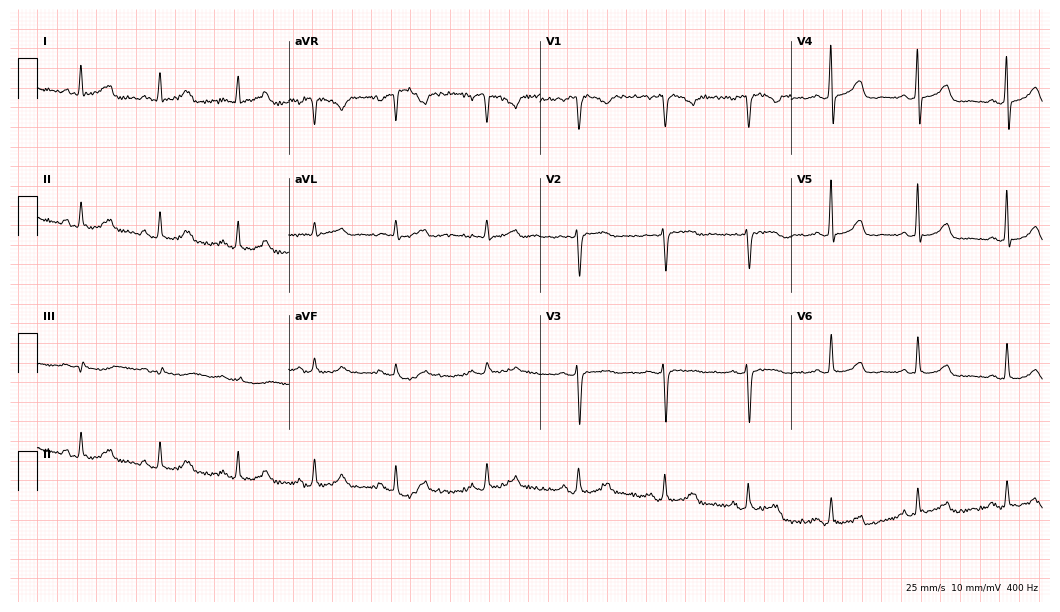
12-lead ECG from a 47-year-old woman. Recorded interpretation: within normal limits.